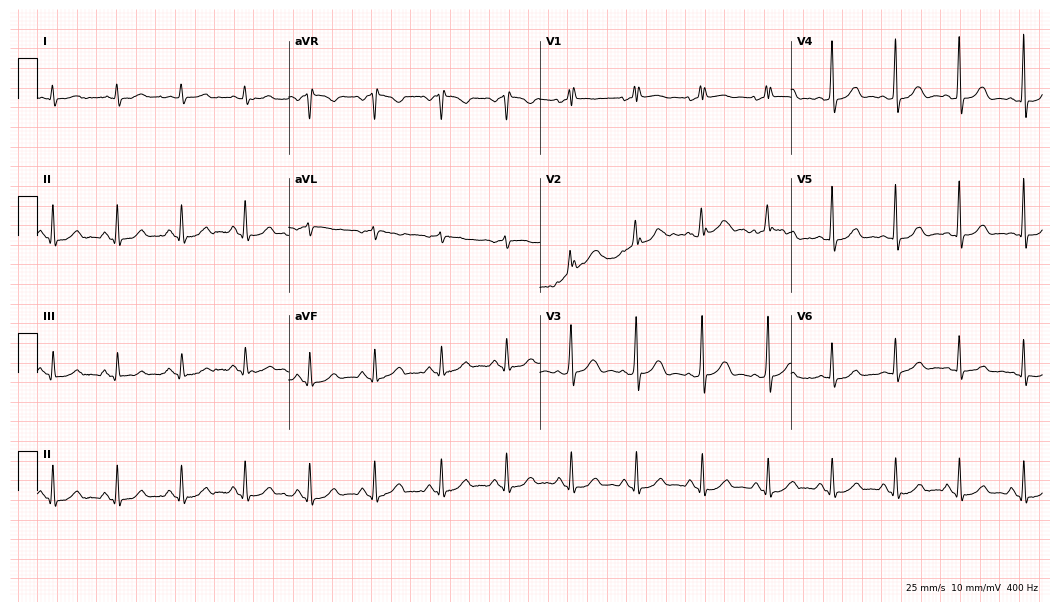
Standard 12-lead ECG recorded from a male patient, 72 years old. None of these six findings is recorded: first-degree AV block, right bundle branch block (RBBB), left bundle branch block (LBBB), sinus bradycardia, atrial fibrillation (AF), sinus tachycardia. Only these six findings were labelled.